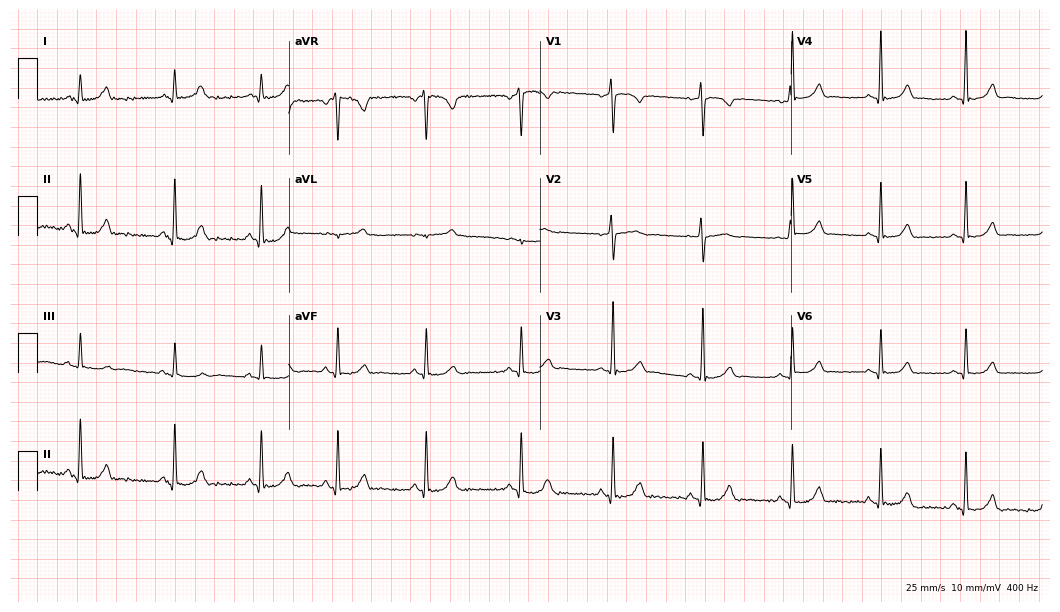
ECG — a woman, 19 years old. Labelled as a normal ECG.